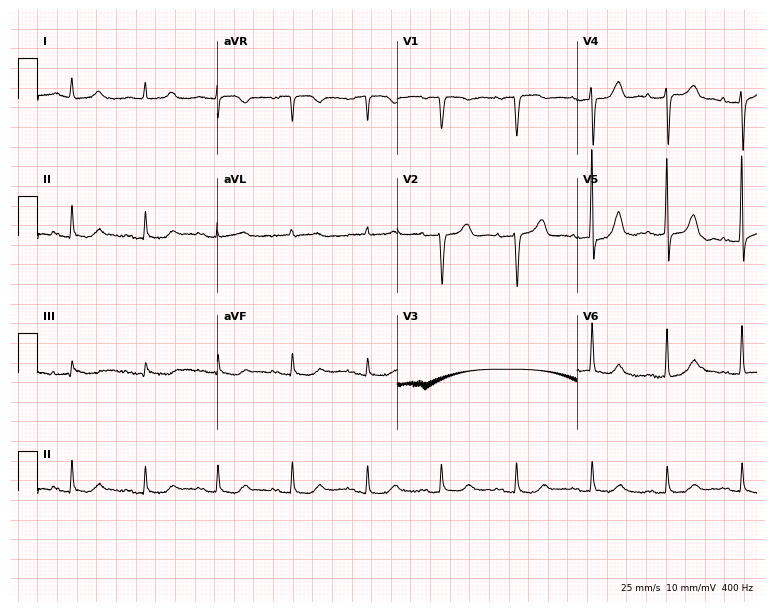
12-lead ECG from a female patient, 76 years old (7.3-second recording at 400 Hz). No first-degree AV block, right bundle branch block, left bundle branch block, sinus bradycardia, atrial fibrillation or sinus tachycardia recorded for this tracing. Only these six findings were labelled.